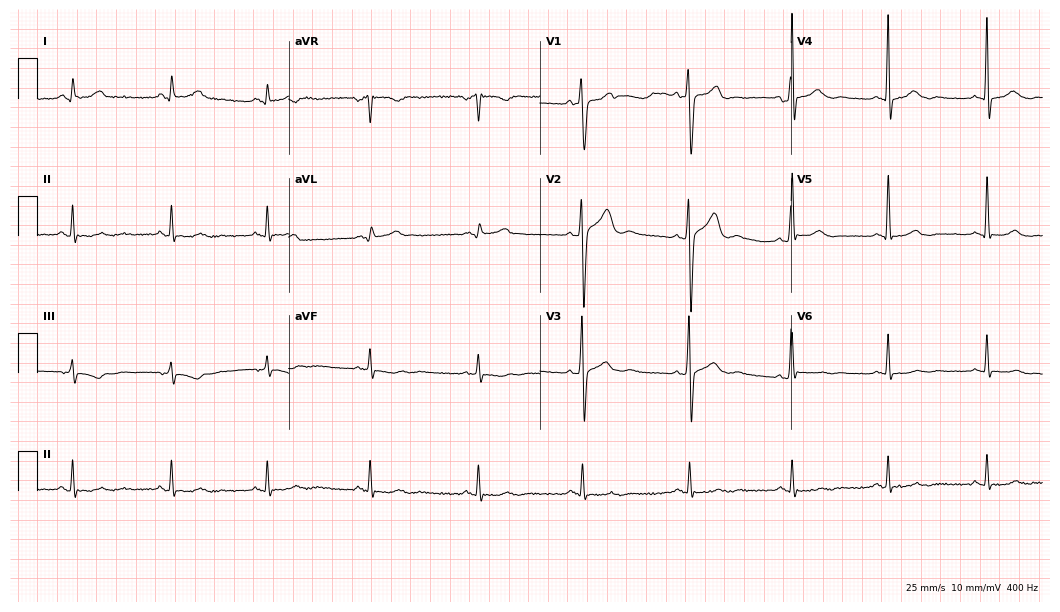
12-lead ECG from a 37-year-old male (10.2-second recording at 400 Hz). No first-degree AV block, right bundle branch block, left bundle branch block, sinus bradycardia, atrial fibrillation or sinus tachycardia recorded for this tracing. Findings outside these six are not listed.